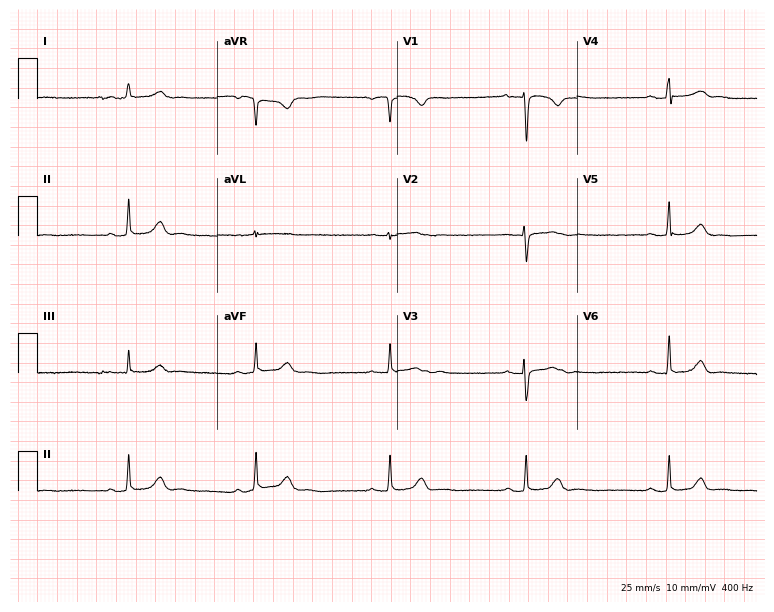
Electrocardiogram, a 22-year-old female. Interpretation includes sinus bradycardia (a sinus rate of 50 beats per minute or less).